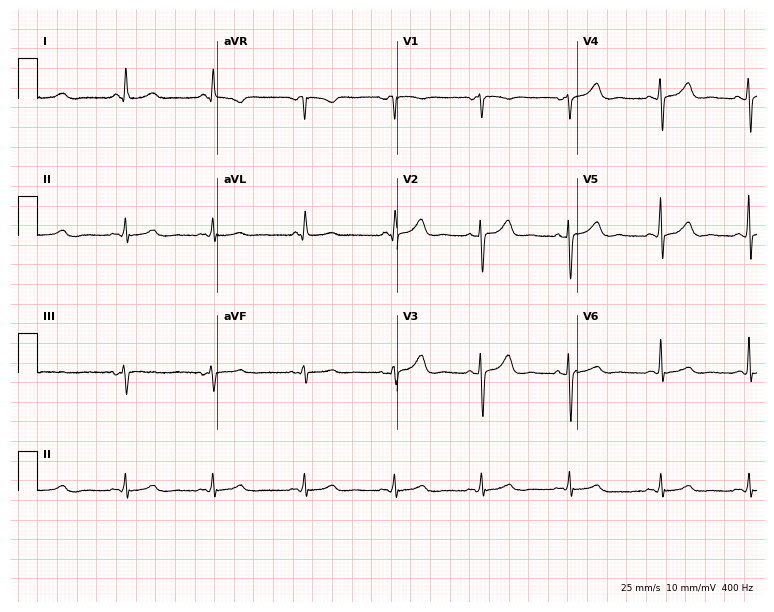
Standard 12-lead ECG recorded from a female, 56 years old. Read as a normal ECG.